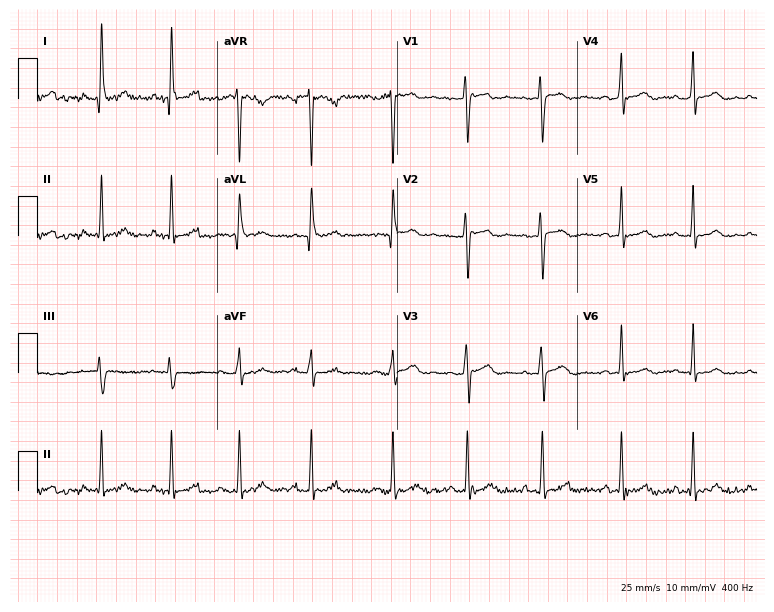
ECG — a female patient, 28 years old. Labelled as a normal ECG.